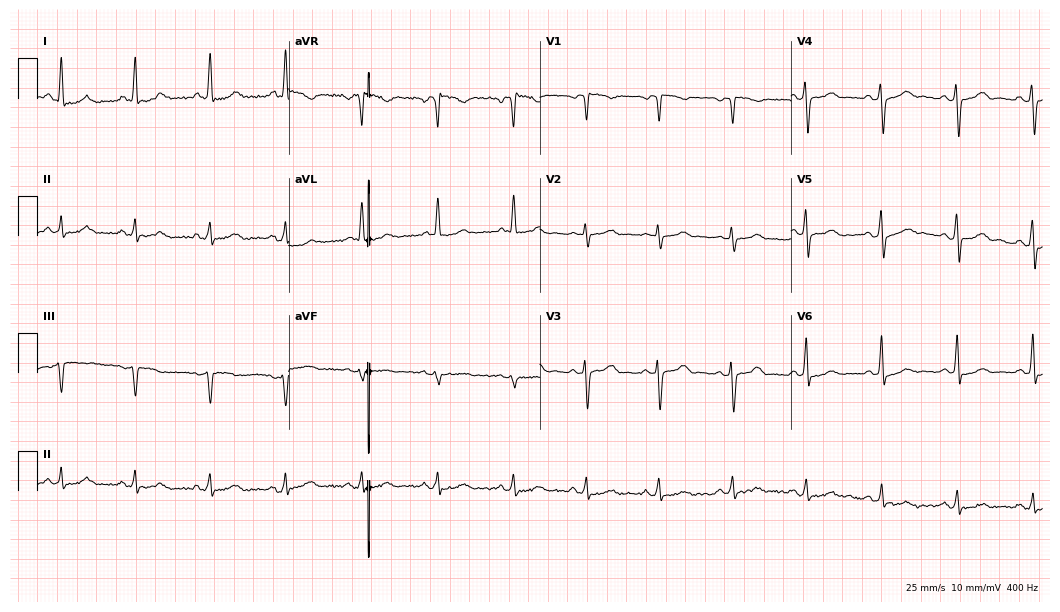
ECG (10.2-second recording at 400 Hz) — a male, 56 years old. Labelled as a normal ECG.